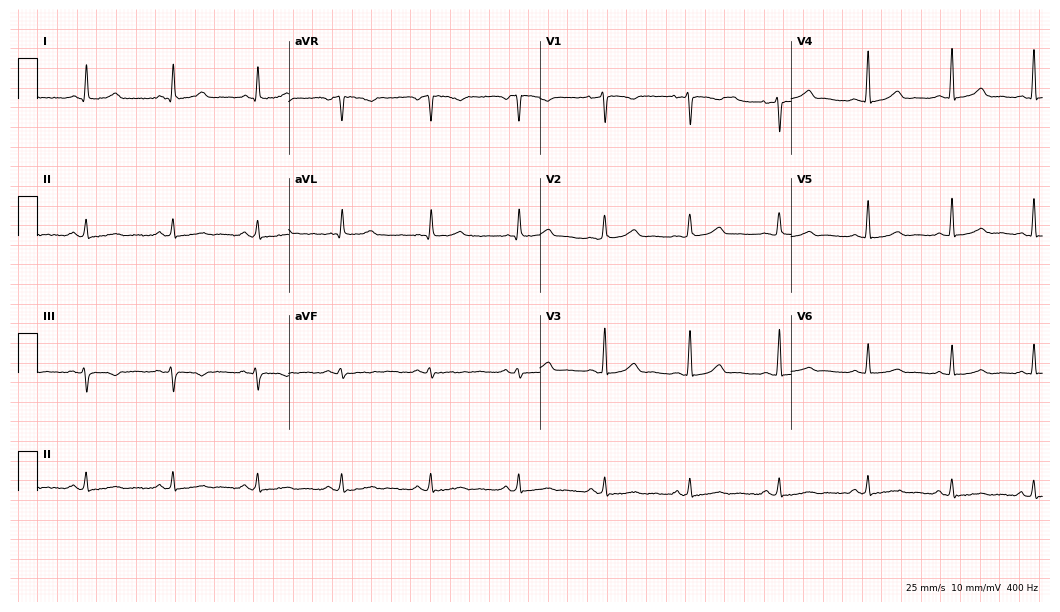
12-lead ECG from a woman, 31 years old. No first-degree AV block, right bundle branch block, left bundle branch block, sinus bradycardia, atrial fibrillation or sinus tachycardia recorded for this tracing. Other findings, if any, are not listed.